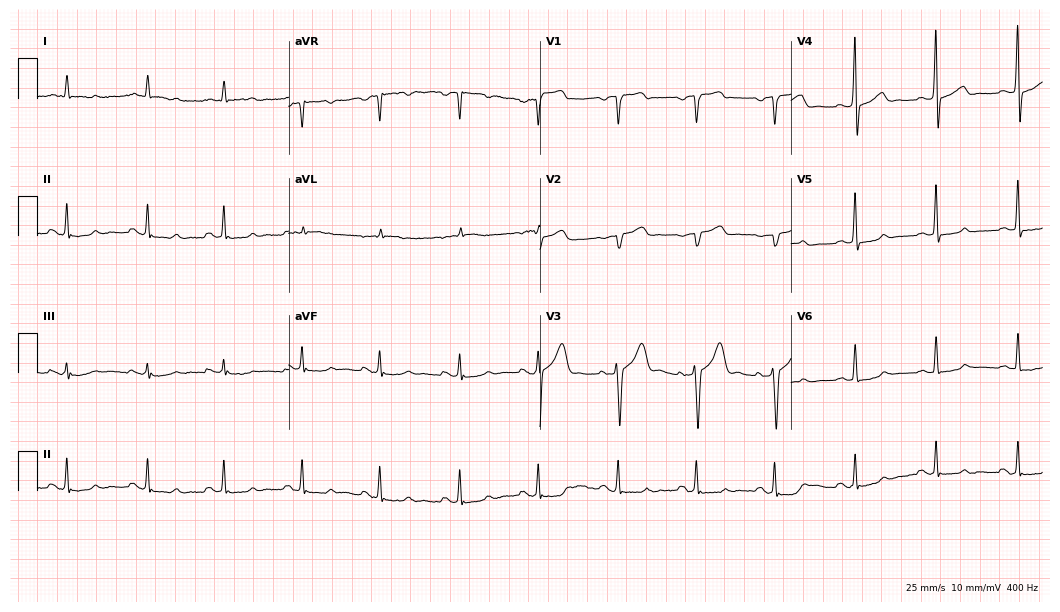
12-lead ECG from a man, 81 years old (10.2-second recording at 400 Hz). Recorded interpretation: within normal limits.